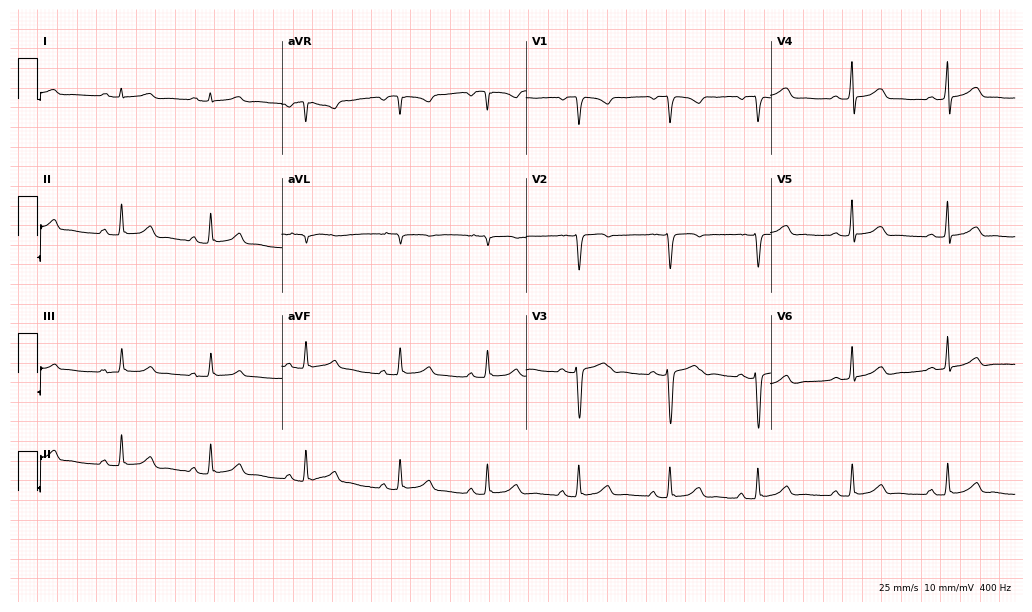
Standard 12-lead ECG recorded from a 32-year-old female (10-second recording at 400 Hz). Read as a normal ECG.